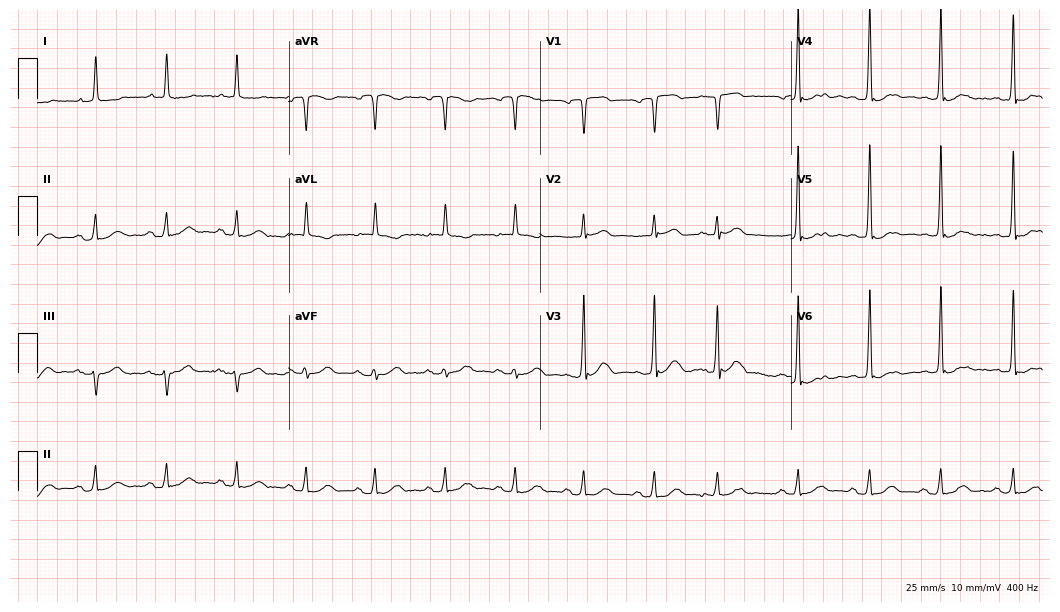
12-lead ECG (10.2-second recording at 400 Hz) from a man, 82 years old. Screened for six findings — first-degree AV block, right bundle branch block, left bundle branch block, sinus bradycardia, atrial fibrillation, sinus tachycardia — none is recorded. Other findings, if any, are not listed.